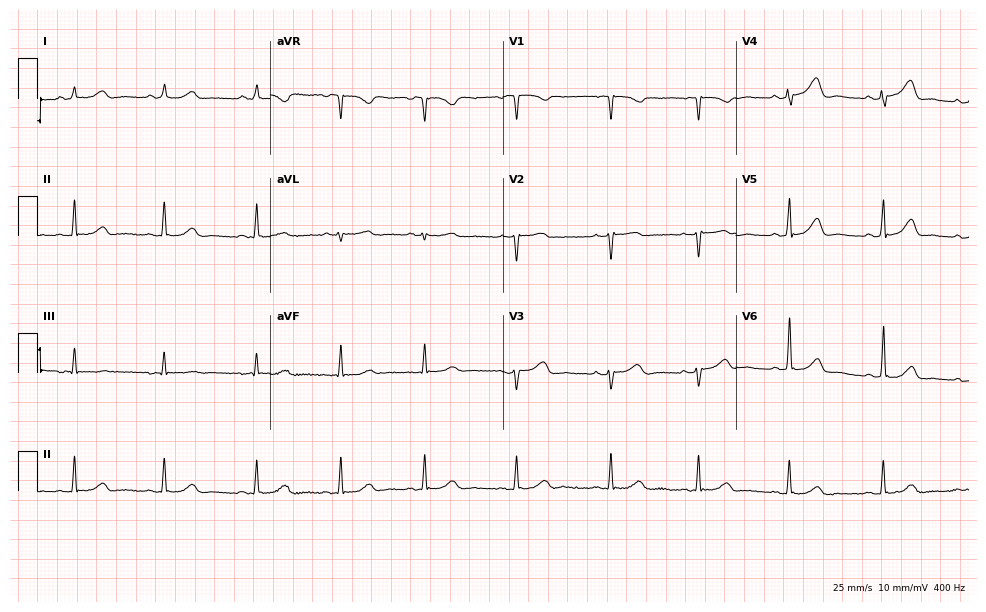
12-lead ECG (9.5-second recording at 400 Hz) from a female patient, 73 years old. Labelled as a normal ECG.